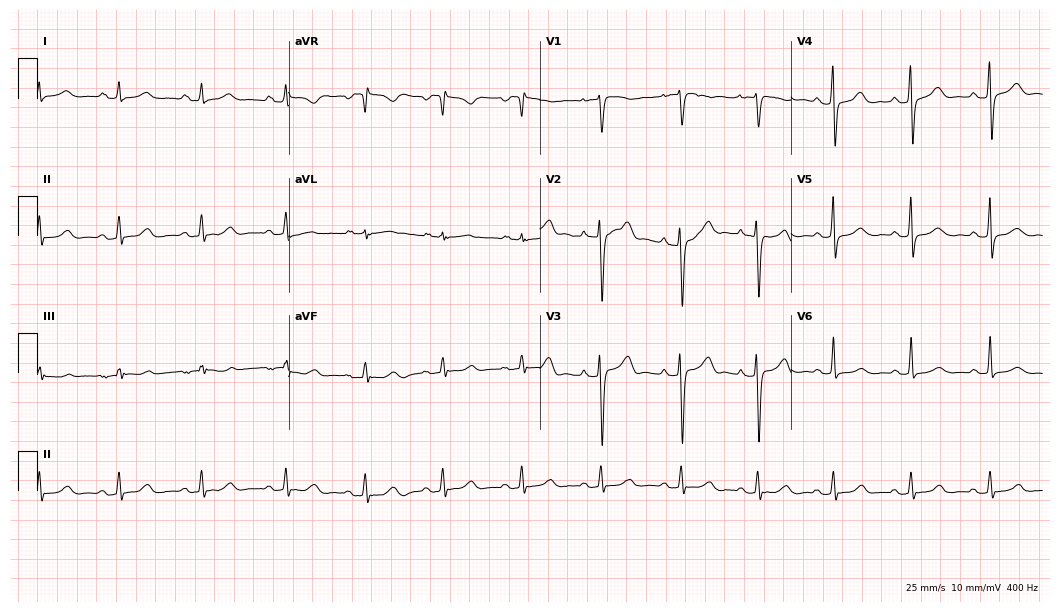
12-lead ECG (10.2-second recording at 400 Hz) from a woman, 38 years old. Labelled as a normal ECG.